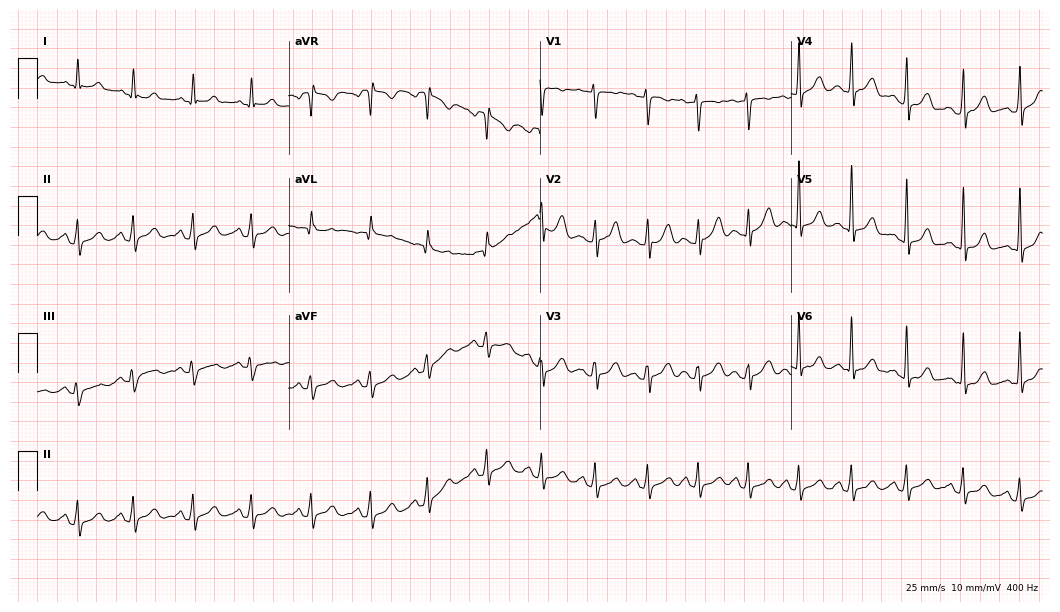
Resting 12-lead electrocardiogram. Patient: a 26-year-old female. The tracing shows sinus tachycardia (a sinus rate of 100 beats per minute or more).